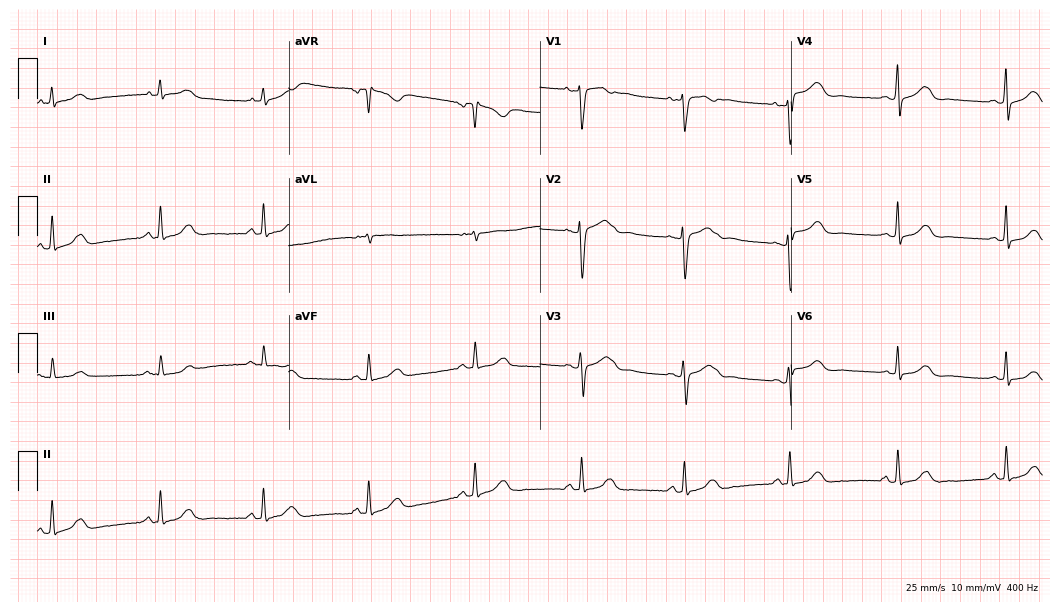
Electrocardiogram, a female, 40 years old. Of the six screened findings (first-degree AV block, right bundle branch block (RBBB), left bundle branch block (LBBB), sinus bradycardia, atrial fibrillation (AF), sinus tachycardia), none is recorded. Only these six findings were labelled.